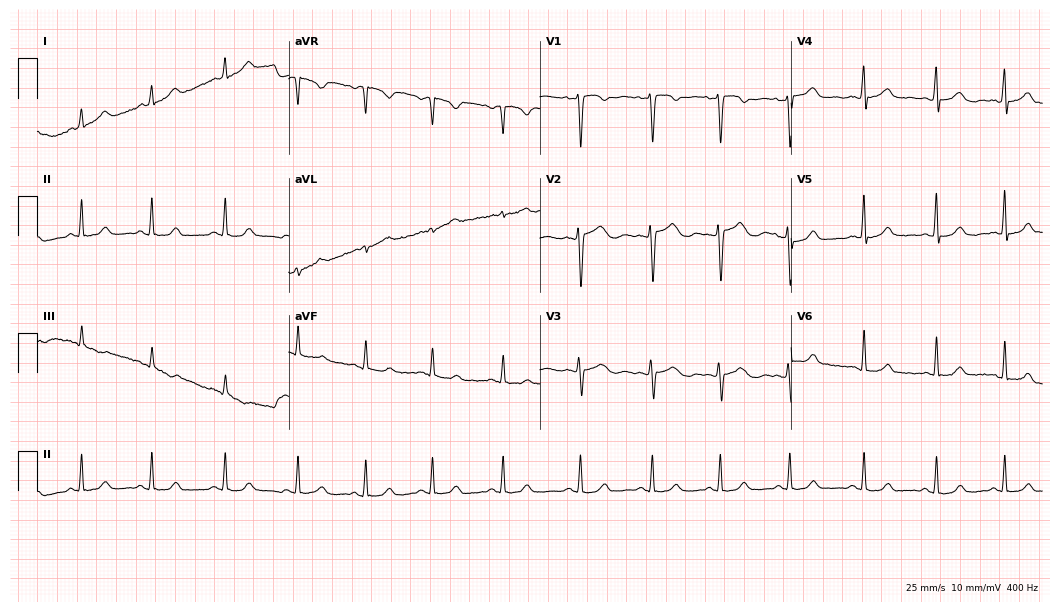
Standard 12-lead ECG recorded from a female patient, 44 years old. Read as a normal ECG.